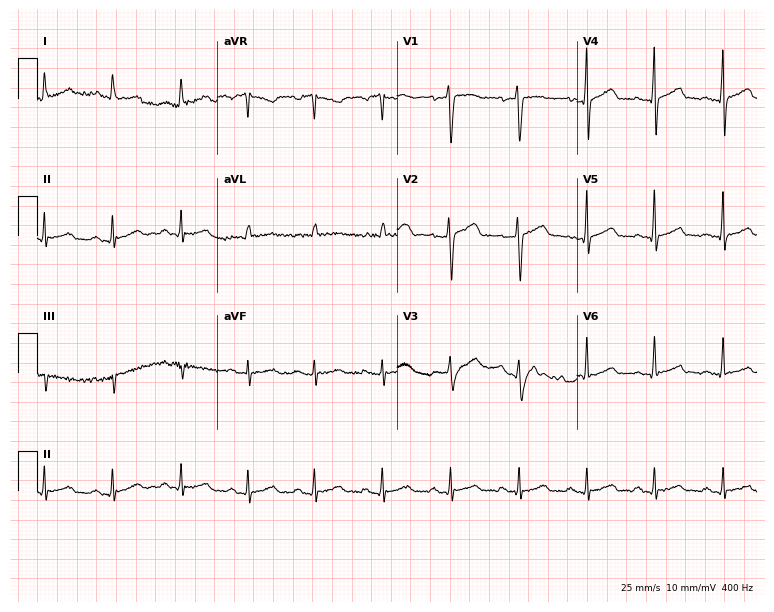
Resting 12-lead electrocardiogram. Patient: a woman, 40 years old. Read as a normal ECG.